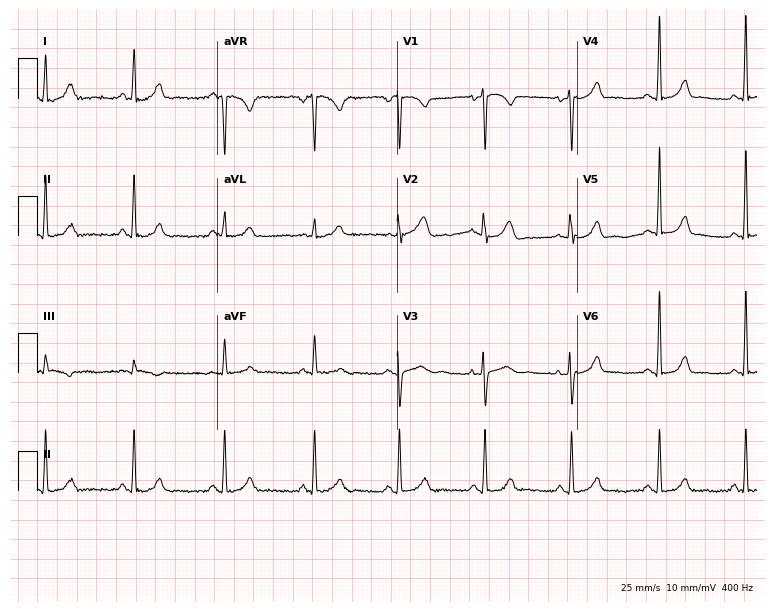
Standard 12-lead ECG recorded from a 36-year-old woman (7.3-second recording at 400 Hz). Read as a normal ECG.